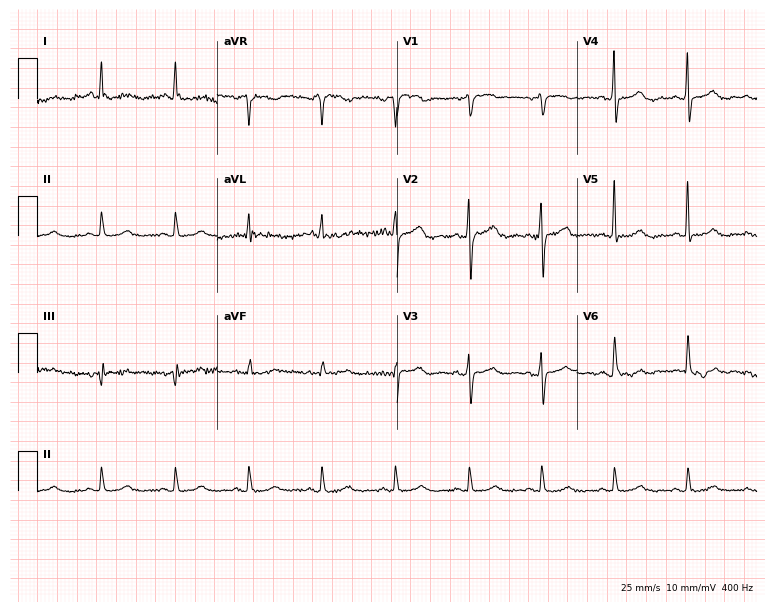
12-lead ECG from a woman, 76 years old (7.3-second recording at 400 Hz). No first-degree AV block, right bundle branch block, left bundle branch block, sinus bradycardia, atrial fibrillation or sinus tachycardia recorded for this tracing. Other findings, if any, are not listed.